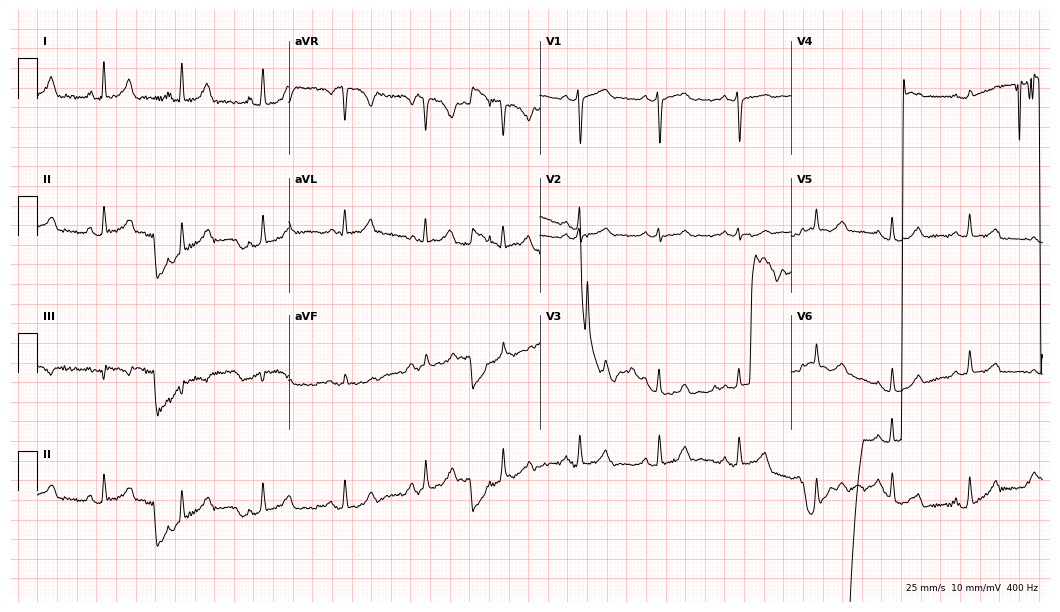
Standard 12-lead ECG recorded from a female patient, 31 years old. None of these six findings is recorded: first-degree AV block, right bundle branch block (RBBB), left bundle branch block (LBBB), sinus bradycardia, atrial fibrillation (AF), sinus tachycardia.